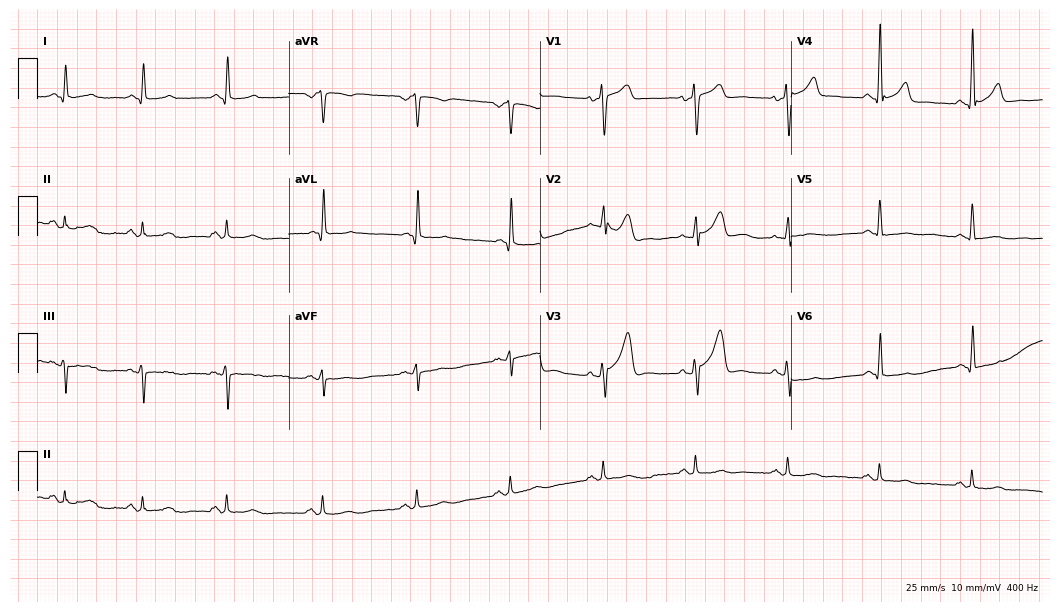
12-lead ECG (10.2-second recording at 400 Hz) from a 39-year-old man. Labelled as a normal ECG.